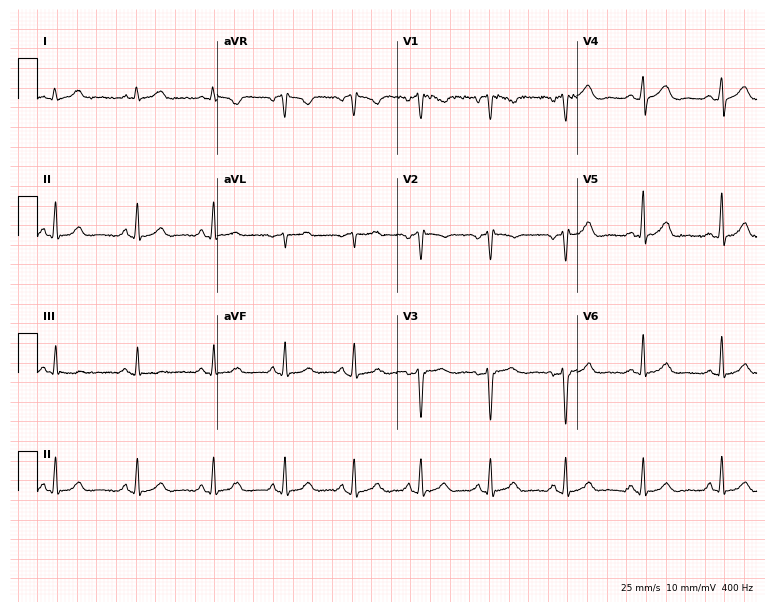
Resting 12-lead electrocardiogram (7.3-second recording at 400 Hz). Patient: a 33-year-old female. Read as a normal ECG.